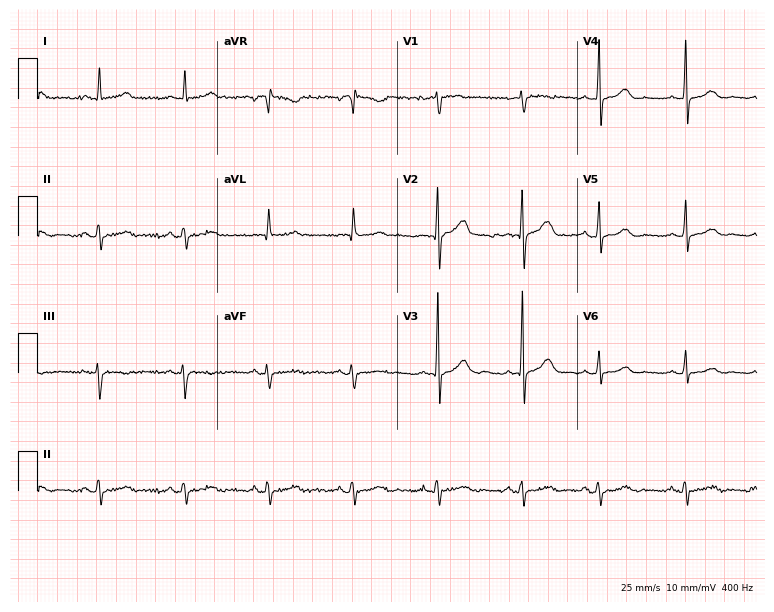
Standard 12-lead ECG recorded from a 62-year-old male (7.3-second recording at 400 Hz). Read as a normal ECG.